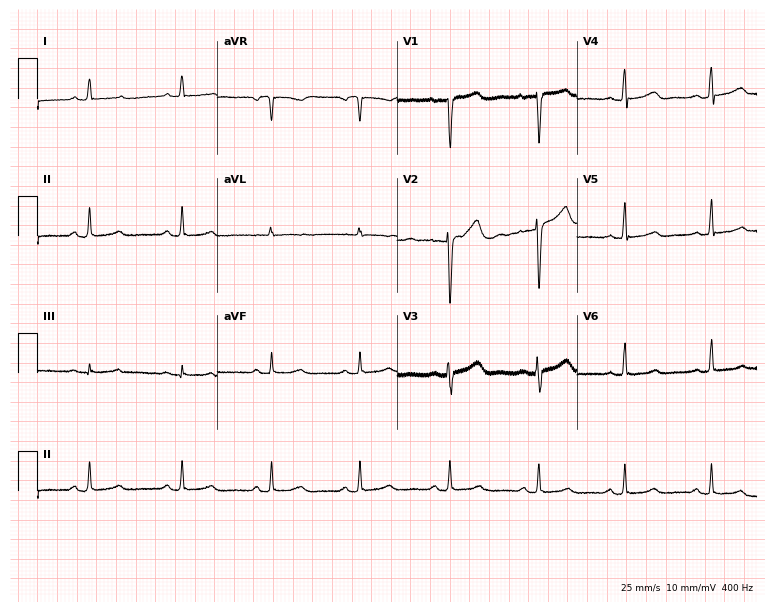
Electrocardiogram, a 37-year-old woman. Of the six screened findings (first-degree AV block, right bundle branch block, left bundle branch block, sinus bradycardia, atrial fibrillation, sinus tachycardia), none is recorded.